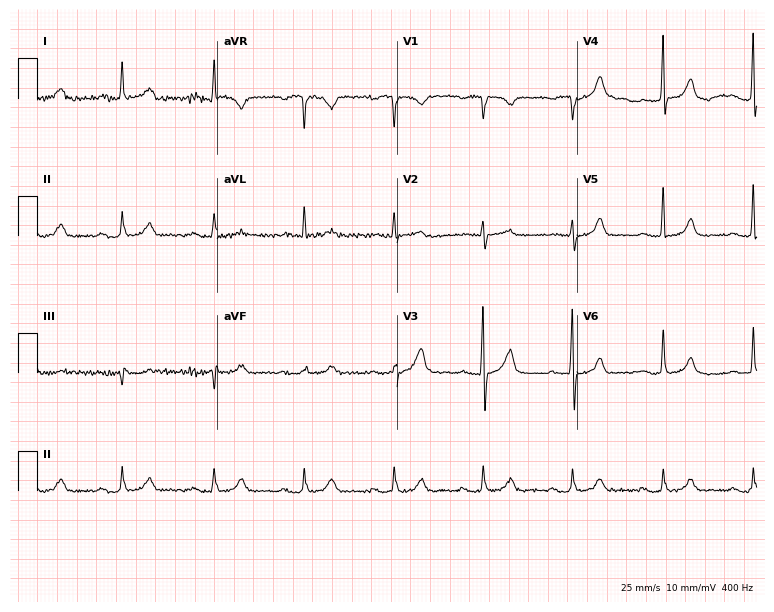
12-lead ECG from a 68-year-old male patient. Shows first-degree AV block.